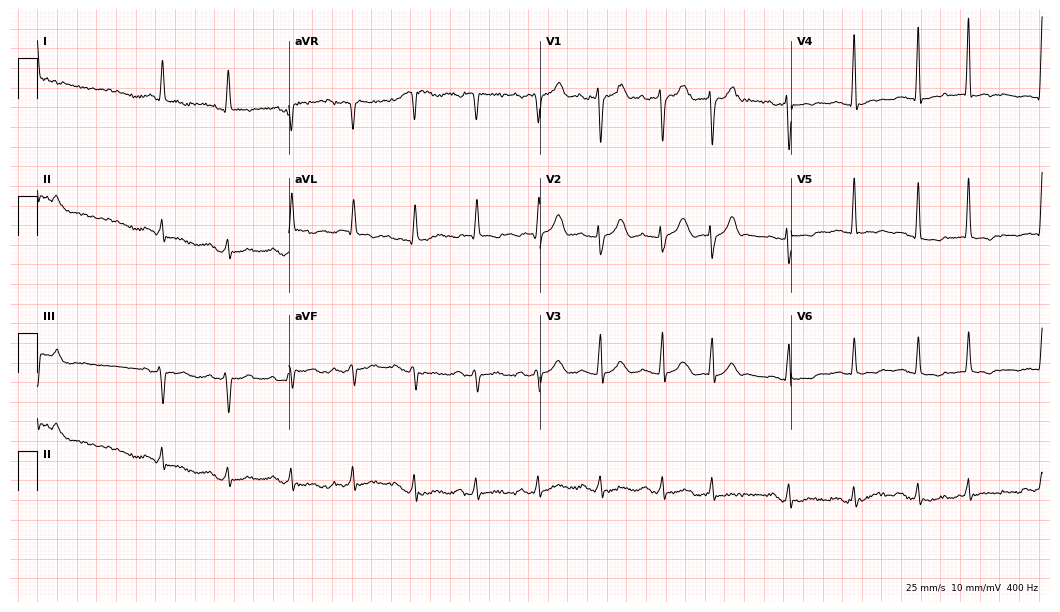
Resting 12-lead electrocardiogram. Patient: a female, 85 years old. None of these six findings is recorded: first-degree AV block, right bundle branch block, left bundle branch block, sinus bradycardia, atrial fibrillation, sinus tachycardia. Other findings, if any, are not listed.